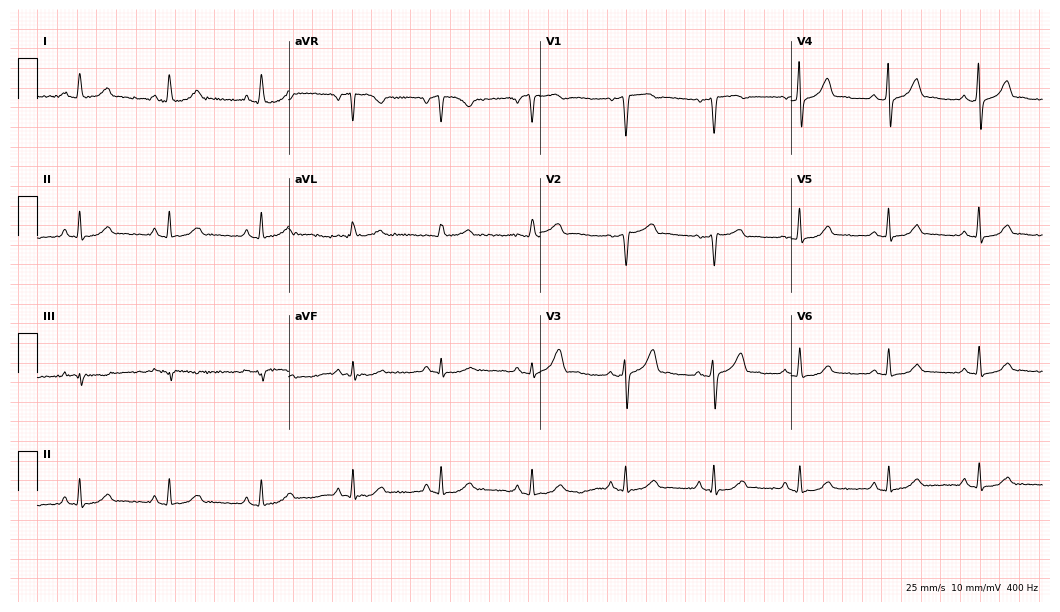
Electrocardiogram (10.2-second recording at 400 Hz), a woman, 50 years old. Overall reading on record: normal ECG.